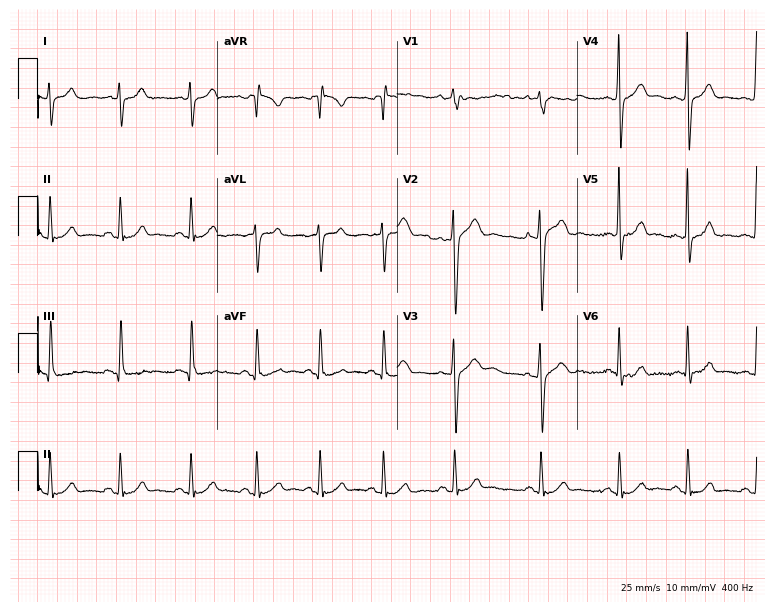
Electrocardiogram, a 25-year-old man. Of the six screened findings (first-degree AV block, right bundle branch block, left bundle branch block, sinus bradycardia, atrial fibrillation, sinus tachycardia), none is recorded.